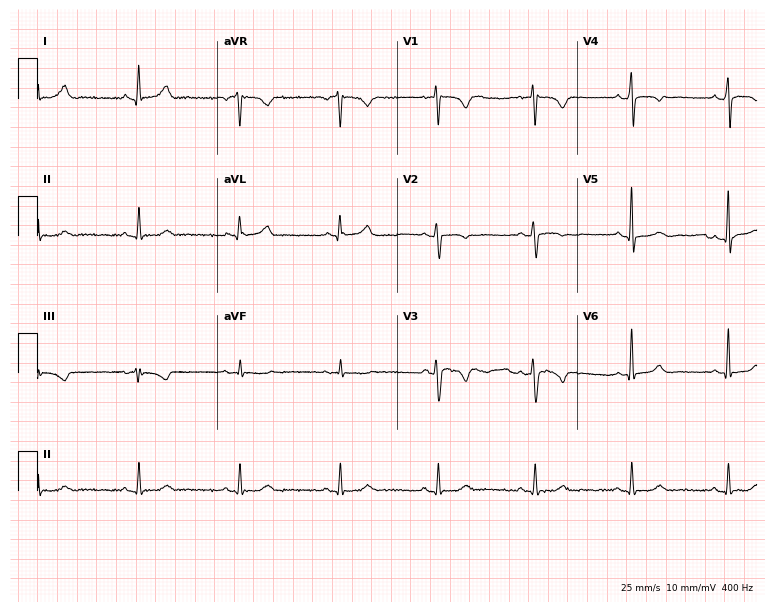
ECG (7.3-second recording at 400 Hz) — a 57-year-old female patient. Labelled as a normal ECG.